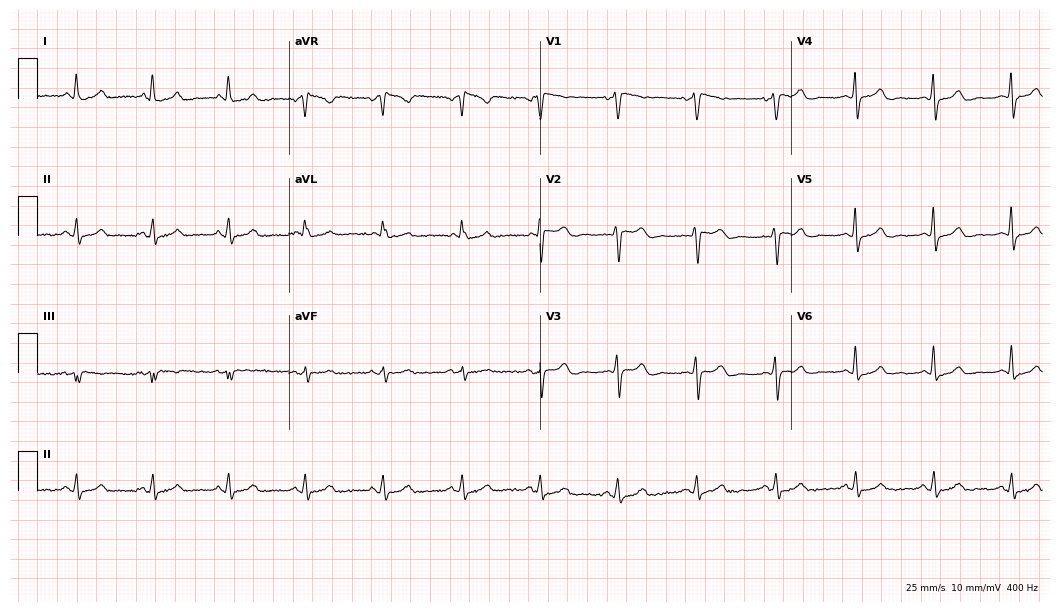
12-lead ECG from a woman, 60 years old. Labelled as a normal ECG.